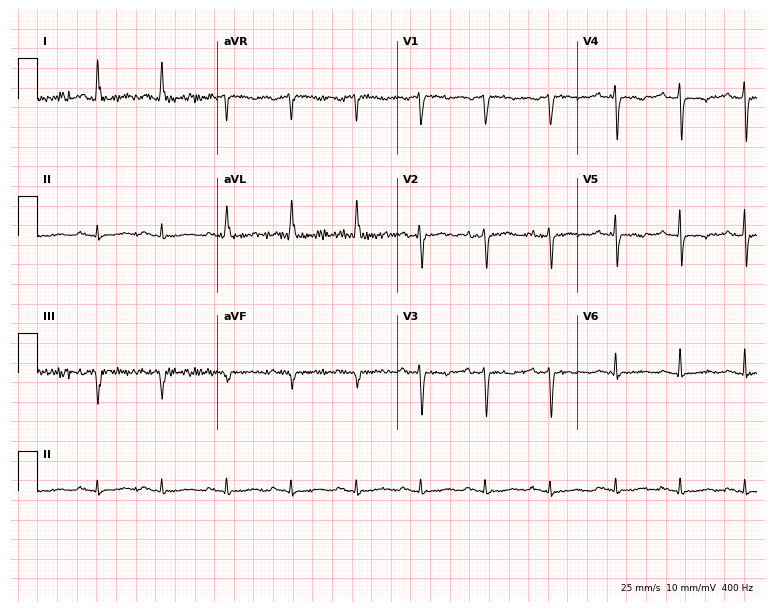
ECG (7.3-second recording at 400 Hz) — a female, 75 years old. Screened for six findings — first-degree AV block, right bundle branch block, left bundle branch block, sinus bradycardia, atrial fibrillation, sinus tachycardia — none is recorded.